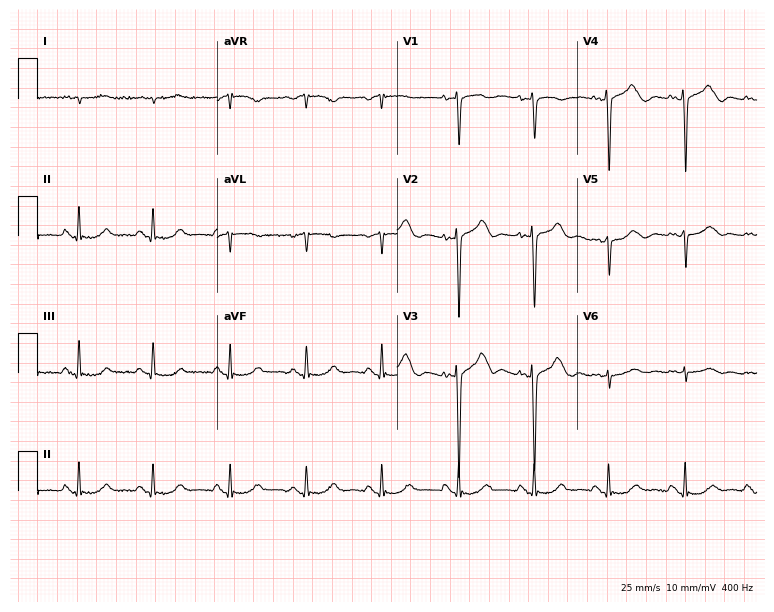
Electrocardiogram, a 79-year-old female patient. Of the six screened findings (first-degree AV block, right bundle branch block (RBBB), left bundle branch block (LBBB), sinus bradycardia, atrial fibrillation (AF), sinus tachycardia), none is recorded.